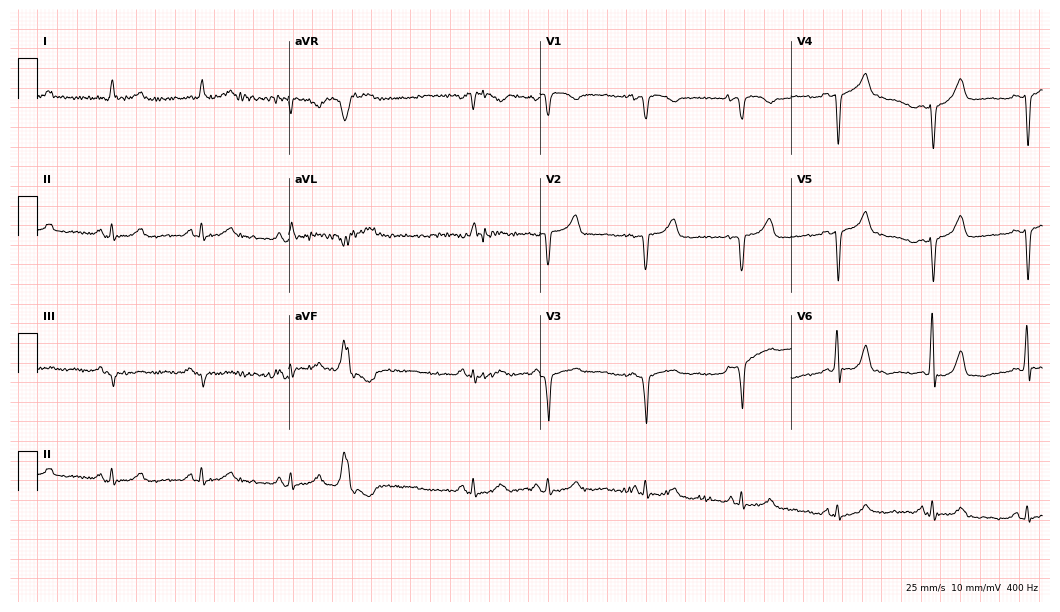
12-lead ECG from a female patient, 85 years old. No first-degree AV block, right bundle branch block (RBBB), left bundle branch block (LBBB), sinus bradycardia, atrial fibrillation (AF) or sinus tachycardia recorded for this tracing.